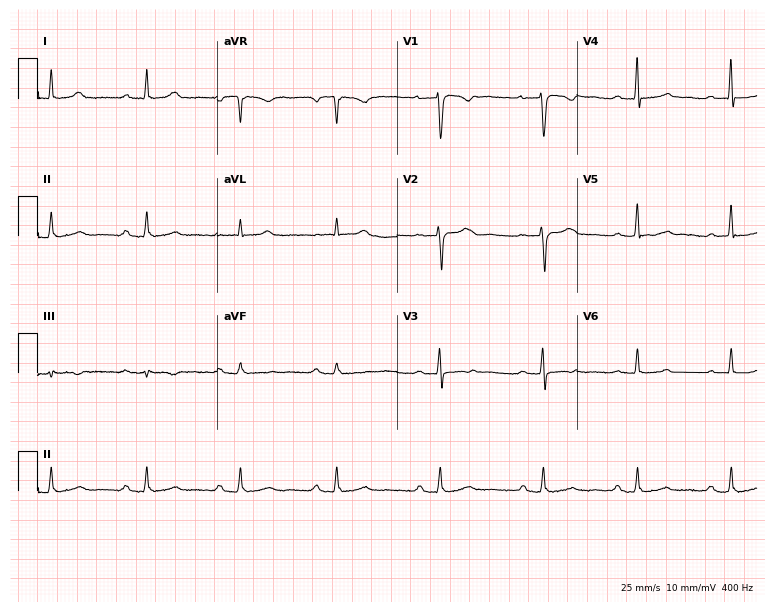
Resting 12-lead electrocardiogram (7.3-second recording at 400 Hz). Patient: a female, 47 years old. Read as a normal ECG.